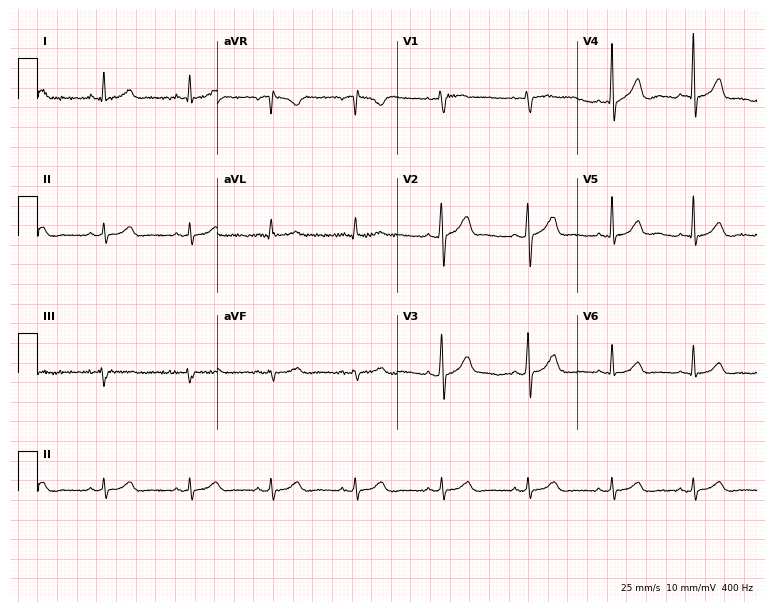
12-lead ECG from a female patient, 51 years old (7.3-second recording at 400 Hz). Recorded interpretation: within normal limits.